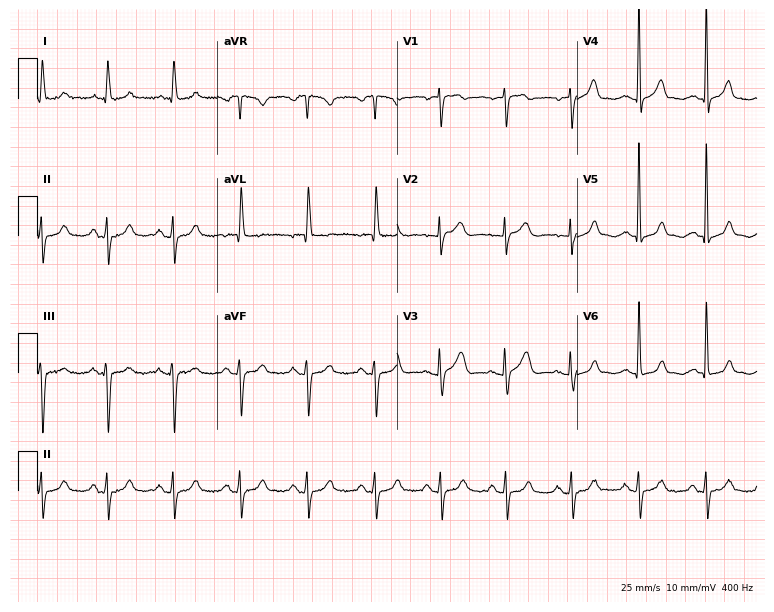
Standard 12-lead ECG recorded from a woman, 82 years old (7.3-second recording at 400 Hz). None of these six findings is recorded: first-degree AV block, right bundle branch block (RBBB), left bundle branch block (LBBB), sinus bradycardia, atrial fibrillation (AF), sinus tachycardia.